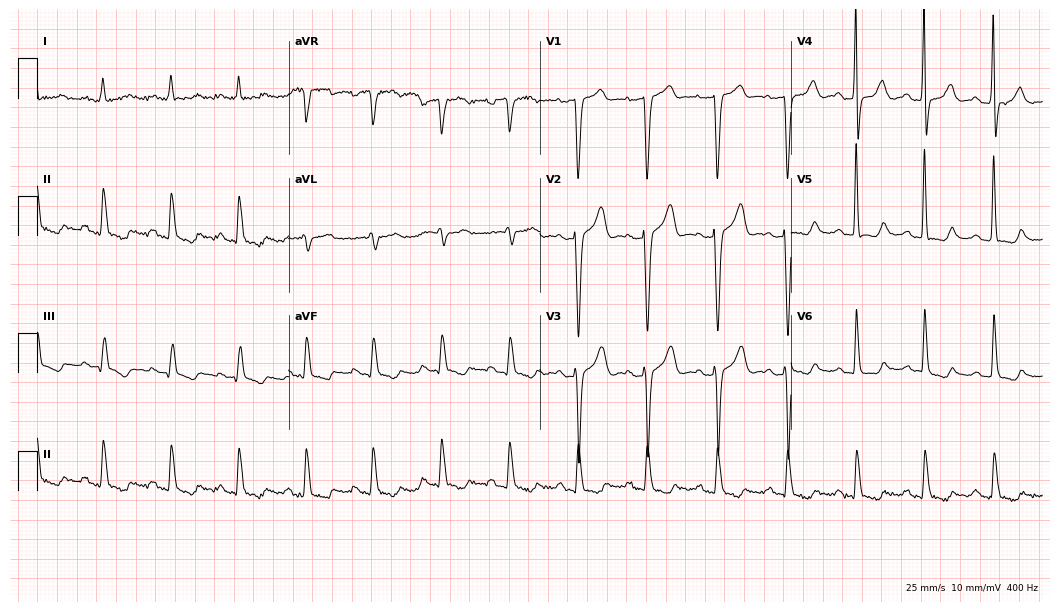
12-lead ECG from a female patient, 71 years old. No first-degree AV block, right bundle branch block (RBBB), left bundle branch block (LBBB), sinus bradycardia, atrial fibrillation (AF) or sinus tachycardia recorded for this tracing. Only these six findings were labelled.